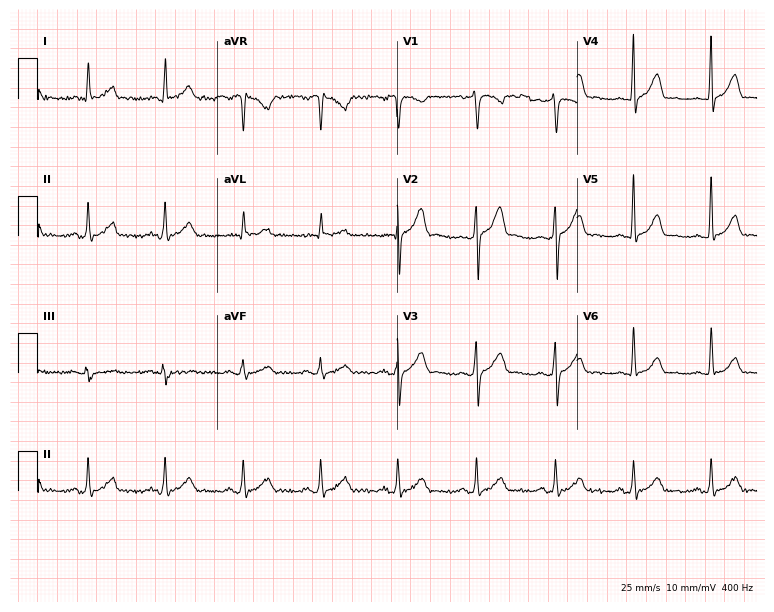
ECG — a male patient, 64 years old. Labelled as a normal ECG.